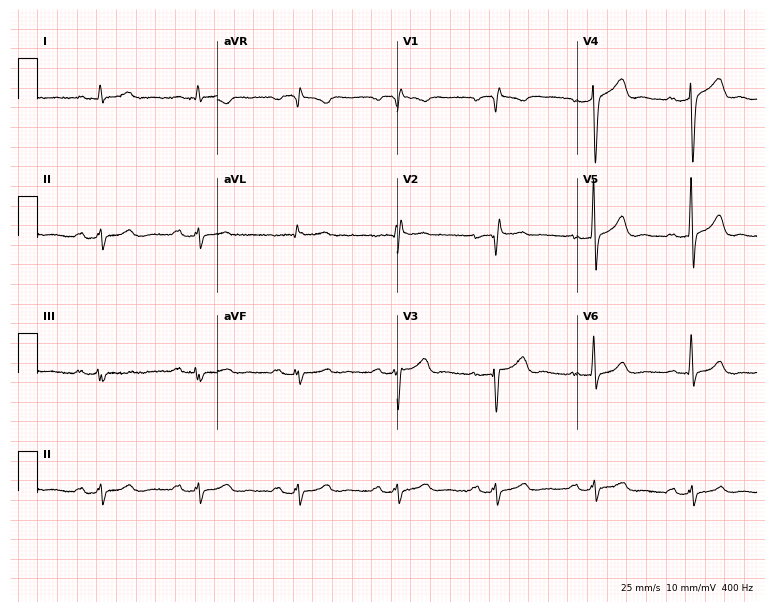
Standard 12-lead ECG recorded from a man, 53 years old. None of these six findings is recorded: first-degree AV block, right bundle branch block, left bundle branch block, sinus bradycardia, atrial fibrillation, sinus tachycardia.